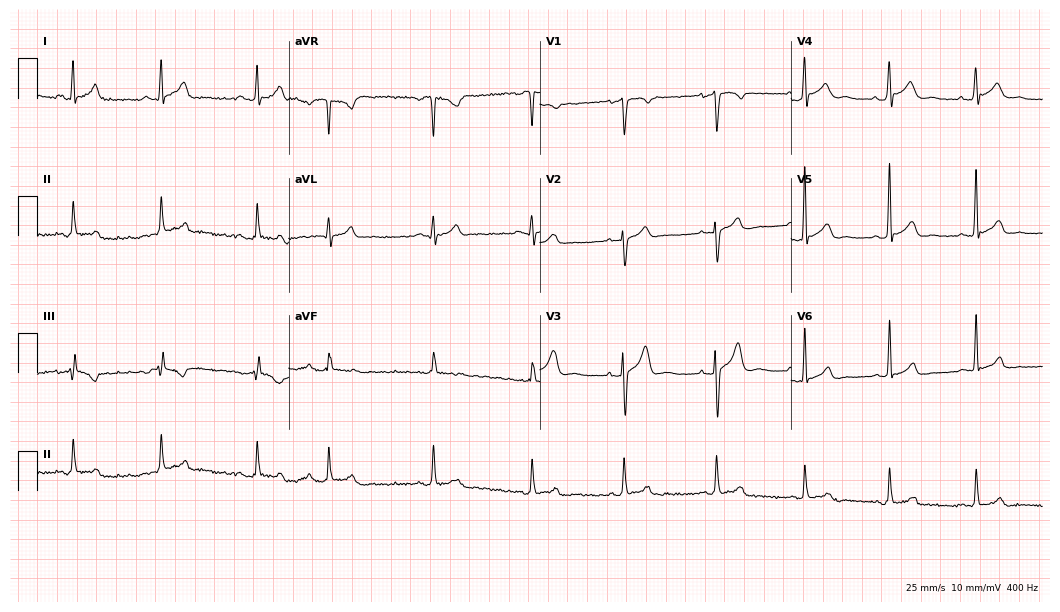
Standard 12-lead ECG recorded from a man, 22 years old. Read as a normal ECG.